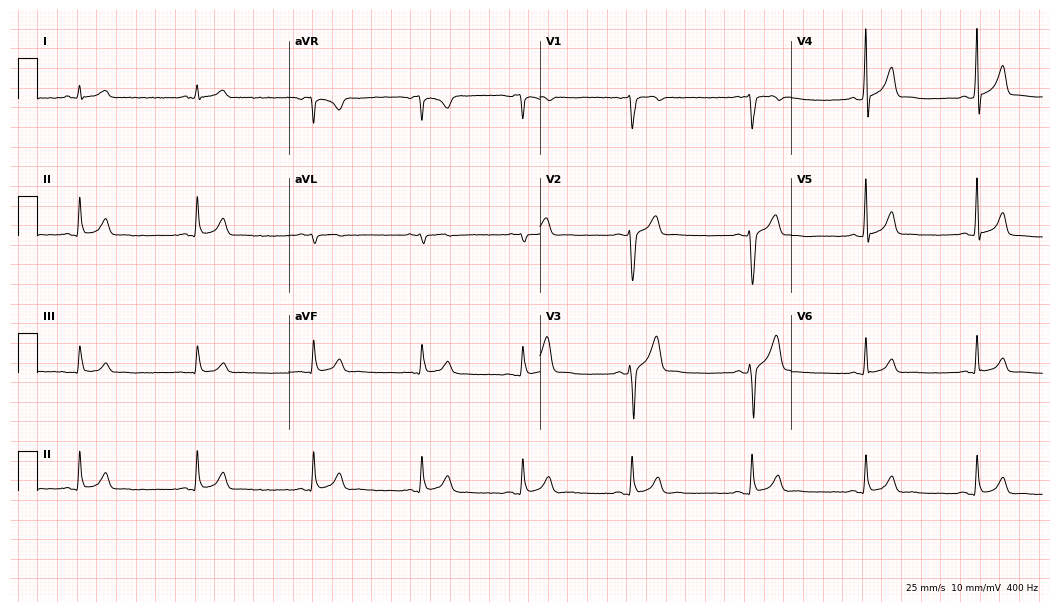
12-lead ECG from a 28-year-old male. Recorded interpretation: within normal limits.